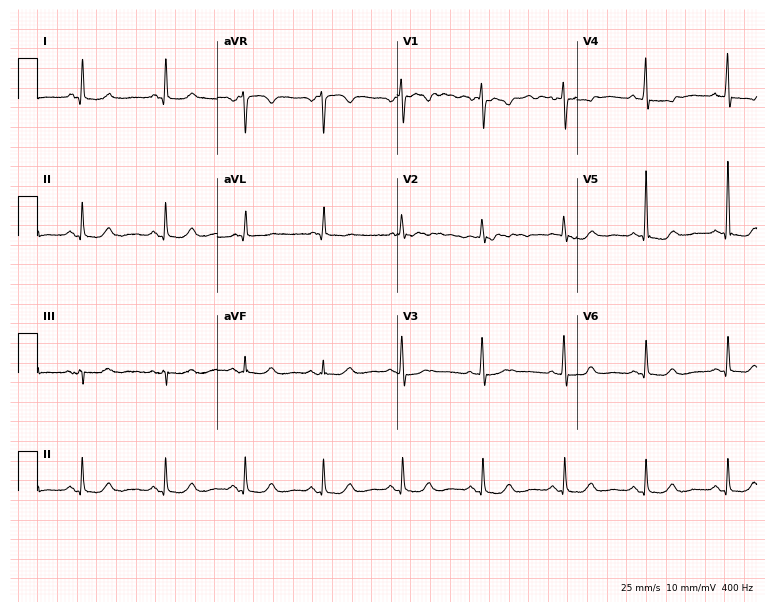
Electrocardiogram, a 58-year-old female. Of the six screened findings (first-degree AV block, right bundle branch block, left bundle branch block, sinus bradycardia, atrial fibrillation, sinus tachycardia), none is recorded.